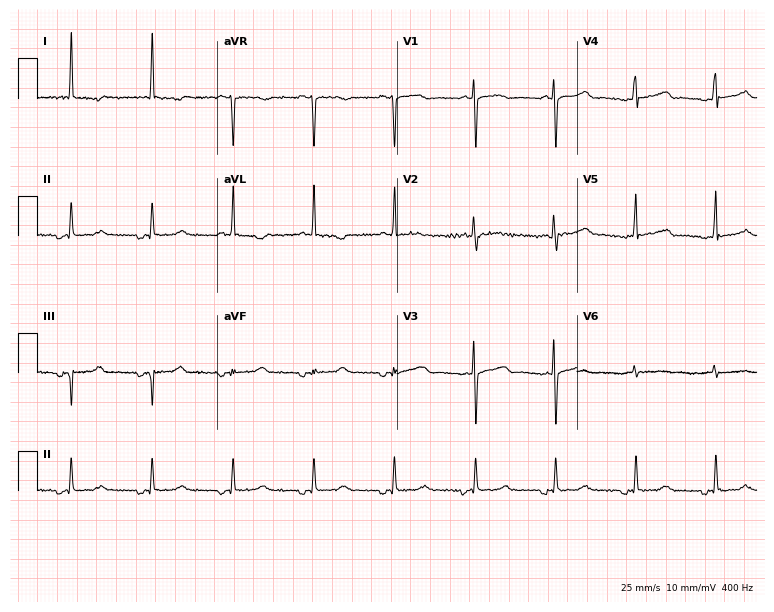
Resting 12-lead electrocardiogram. Patient: a woman, 81 years old. None of these six findings is recorded: first-degree AV block, right bundle branch block, left bundle branch block, sinus bradycardia, atrial fibrillation, sinus tachycardia. Other findings, if any, are not listed.